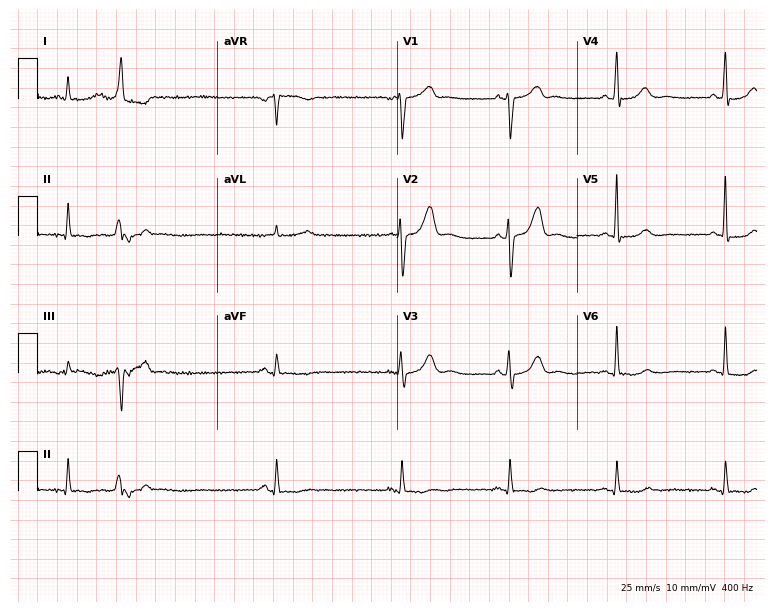
12-lead ECG from a man, 65 years old. Screened for six findings — first-degree AV block, right bundle branch block, left bundle branch block, sinus bradycardia, atrial fibrillation, sinus tachycardia — none is recorded.